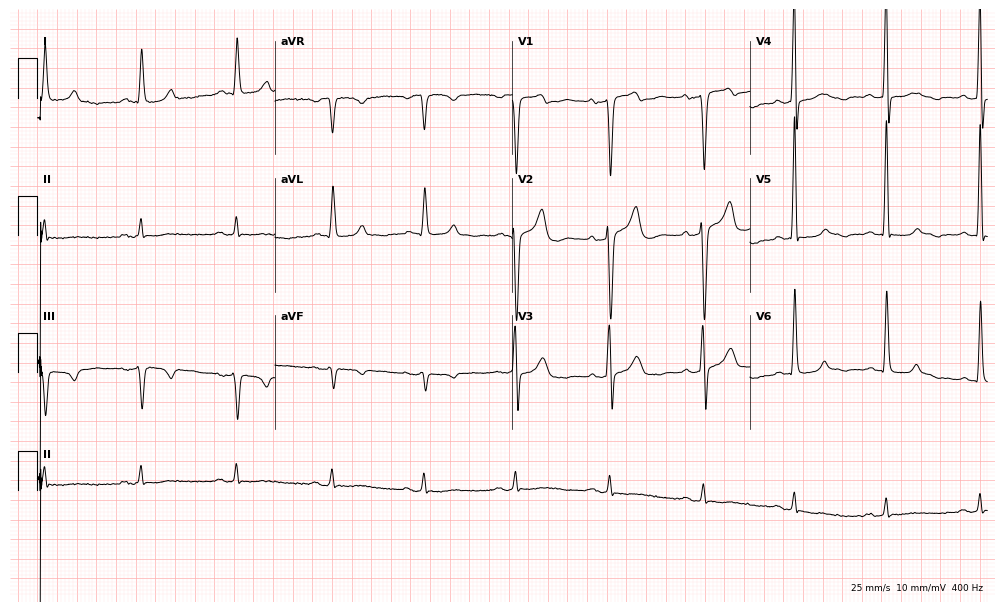
12-lead ECG from a male patient, 69 years old. Screened for six findings — first-degree AV block, right bundle branch block (RBBB), left bundle branch block (LBBB), sinus bradycardia, atrial fibrillation (AF), sinus tachycardia — none is recorded.